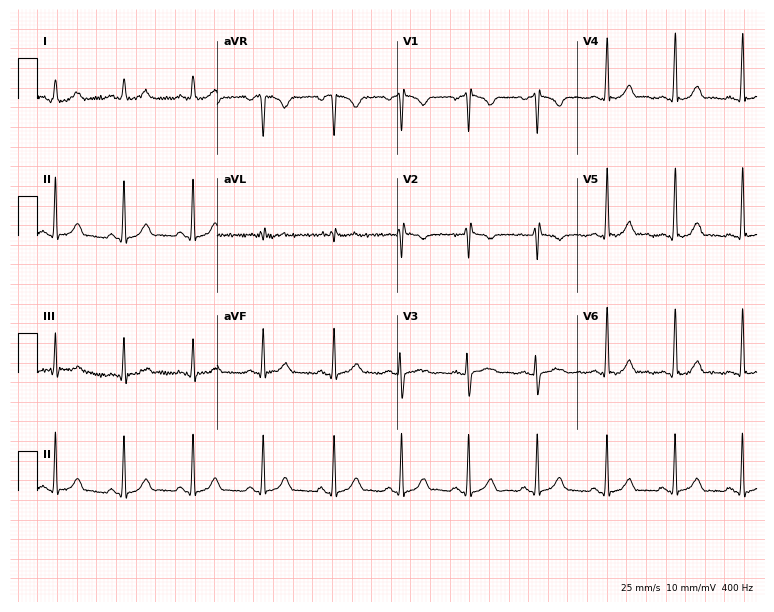
Resting 12-lead electrocardiogram (7.3-second recording at 400 Hz). Patient: a female, 27 years old. Read as a normal ECG.